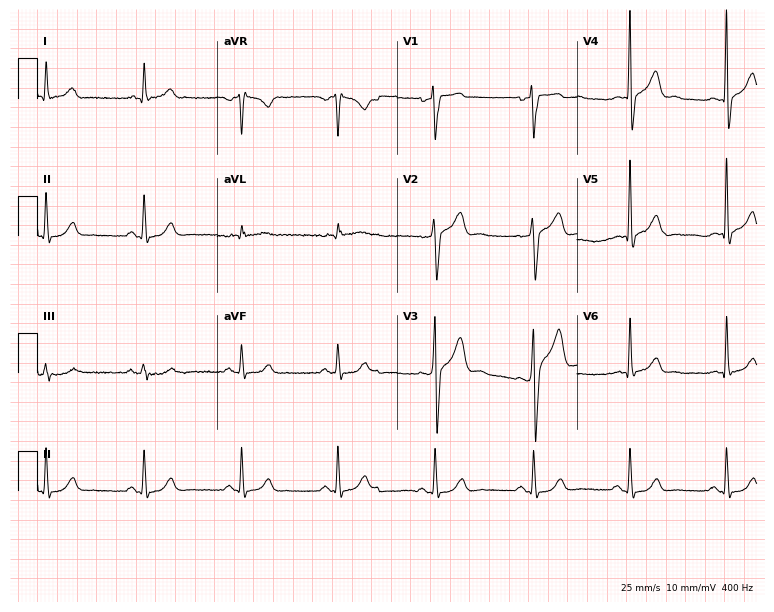
ECG — a male patient, 59 years old. Labelled as a normal ECG.